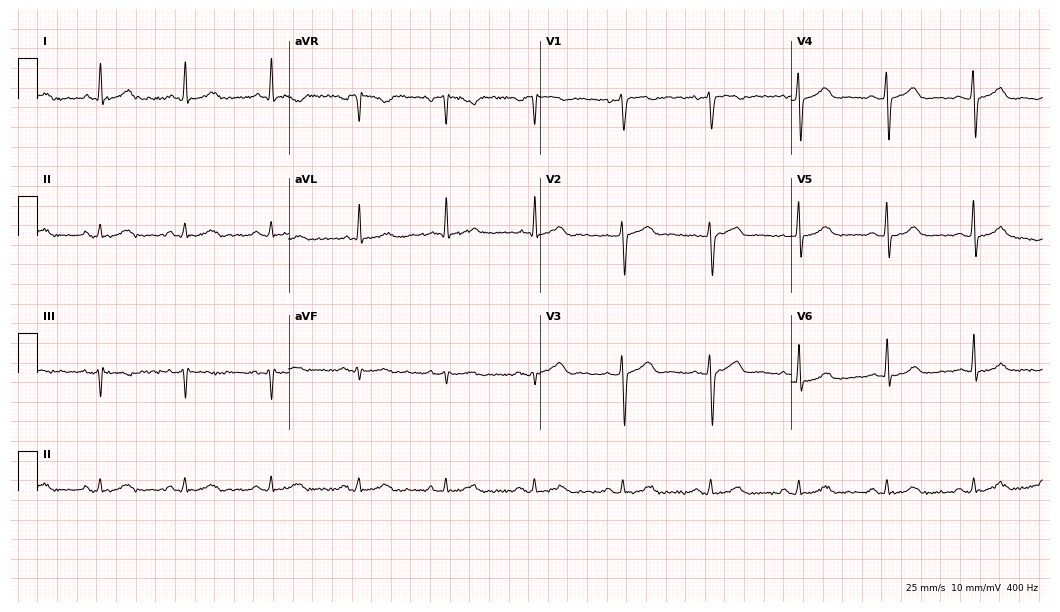
Resting 12-lead electrocardiogram. Patient: a 58-year-old male. Read as a normal ECG.